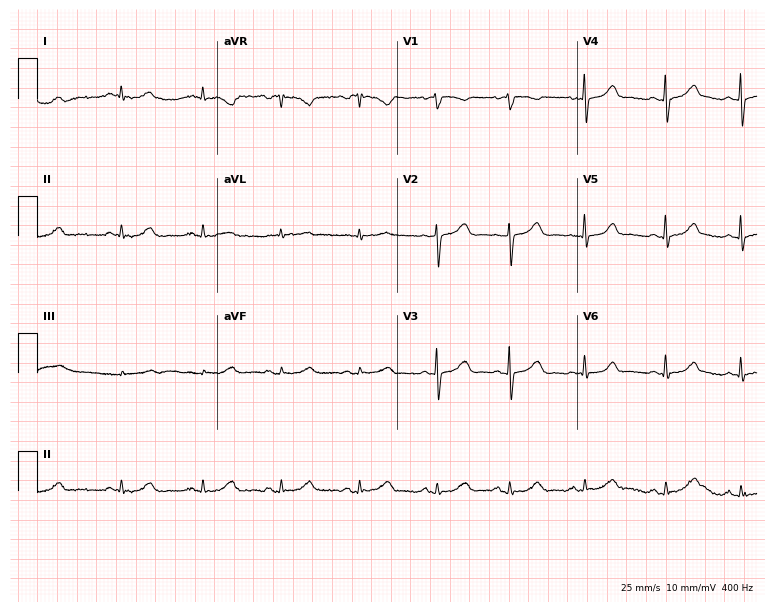
Resting 12-lead electrocardiogram (7.3-second recording at 400 Hz). Patient: a woman, 46 years old. None of these six findings is recorded: first-degree AV block, right bundle branch block, left bundle branch block, sinus bradycardia, atrial fibrillation, sinus tachycardia.